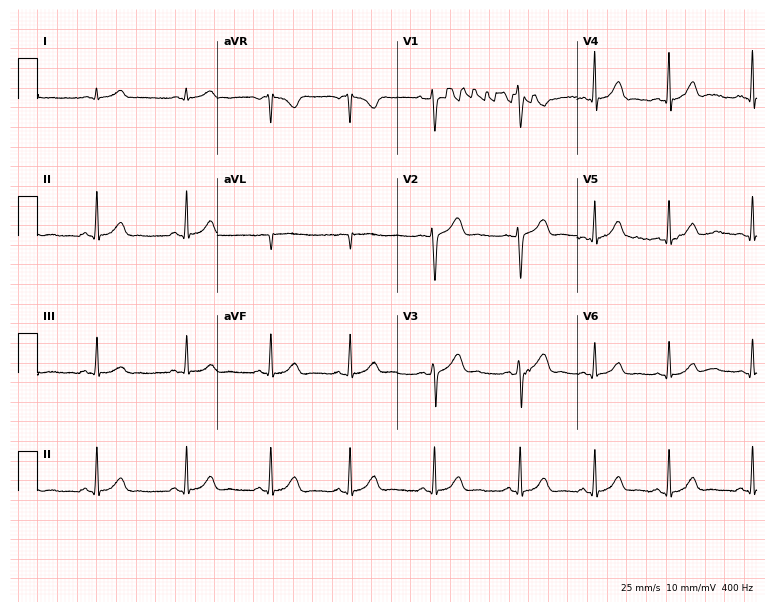
12-lead ECG (7.3-second recording at 400 Hz) from a 23-year-old female. Screened for six findings — first-degree AV block, right bundle branch block, left bundle branch block, sinus bradycardia, atrial fibrillation, sinus tachycardia — none is recorded. Only these six findings were labelled.